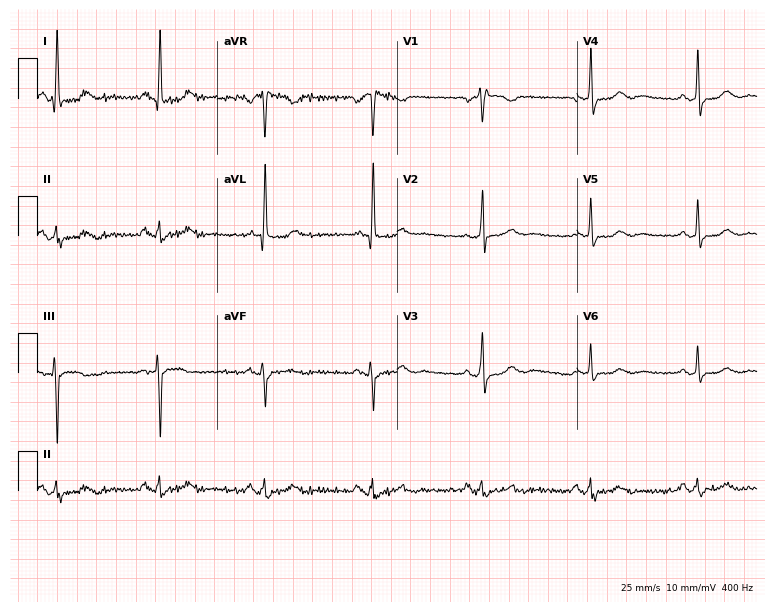
Standard 12-lead ECG recorded from a 65-year-old female. None of these six findings is recorded: first-degree AV block, right bundle branch block (RBBB), left bundle branch block (LBBB), sinus bradycardia, atrial fibrillation (AF), sinus tachycardia.